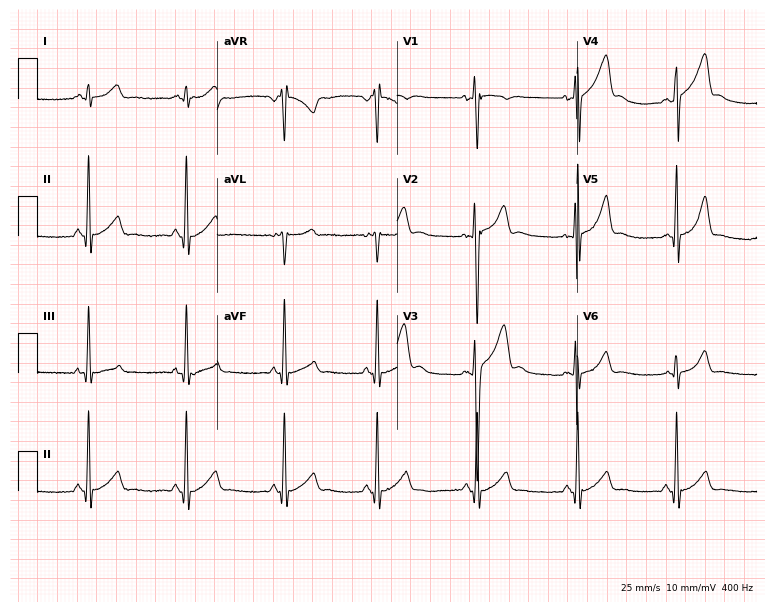
Electrocardiogram (7.3-second recording at 400 Hz), a 17-year-old man. Of the six screened findings (first-degree AV block, right bundle branch block, left bundle branch block, sinus bradycardia, atrial fibrillation, sinus tachycardia), none is recorded. Only these six findings were labelled.